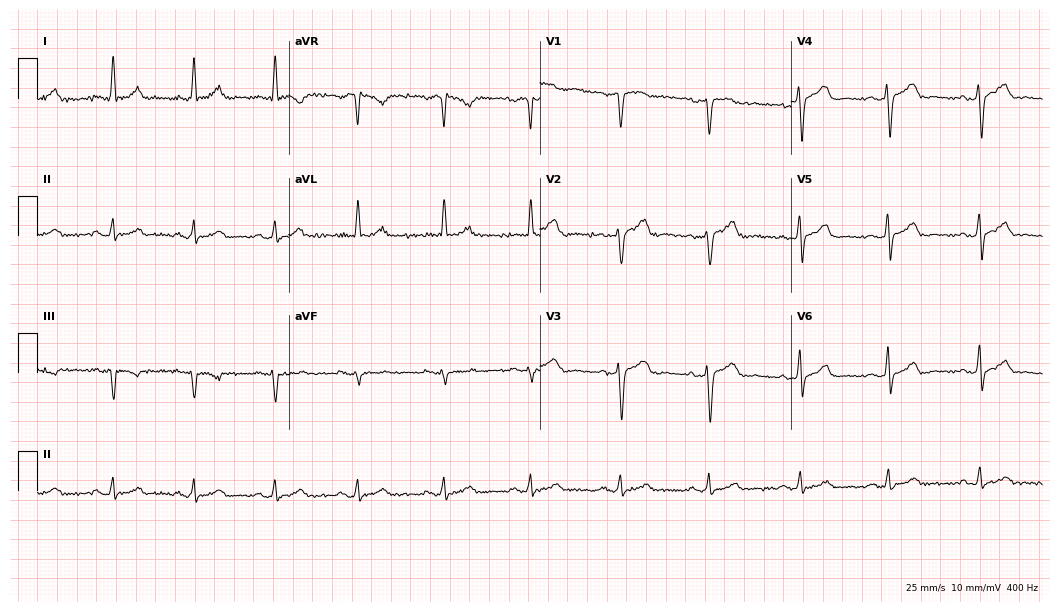
Resting 12-lead electrocardiogram (10.2-second recording at 400 Hz). Patient: a man, 58 years old. Read as a normal ECG.